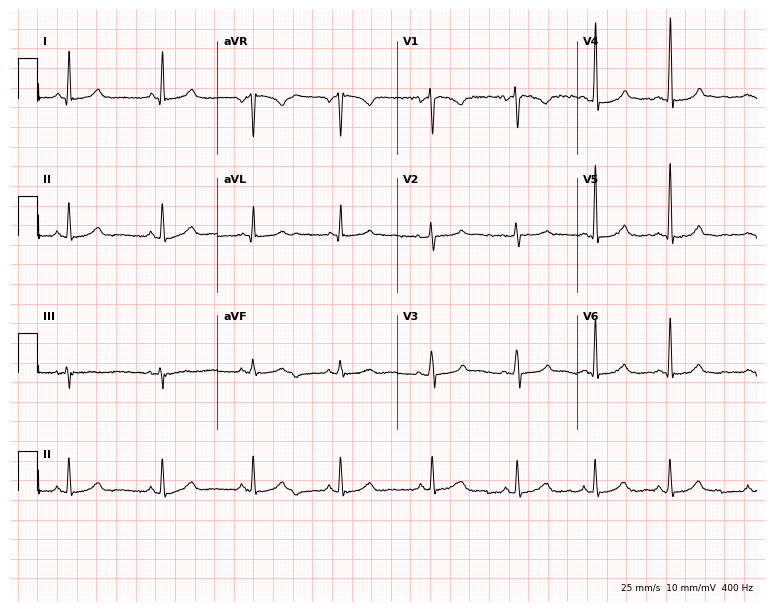
Resting 12-lead electrocardiogram. Patient: a female, 37 years old. Read as a normal ECG.